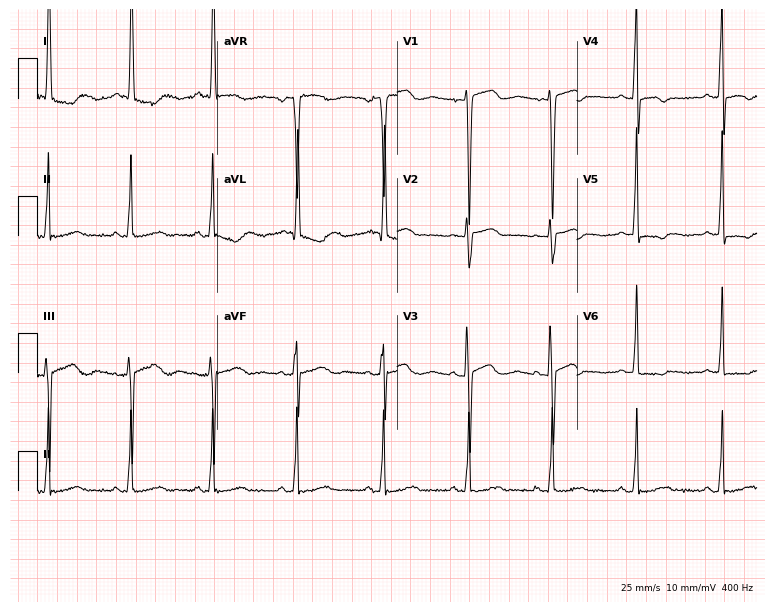
Resting 12-lead electrocardiogram (7.3-second recording at 400 Hz). Patient: a 59-year-old female. None of these six findings is recorded: first-degree AV block, right bundle branch block, left bundle branch block, sinus bradycardia, atrial fibrillation, sinus tachycardia. Other findings, if any, are not listed.